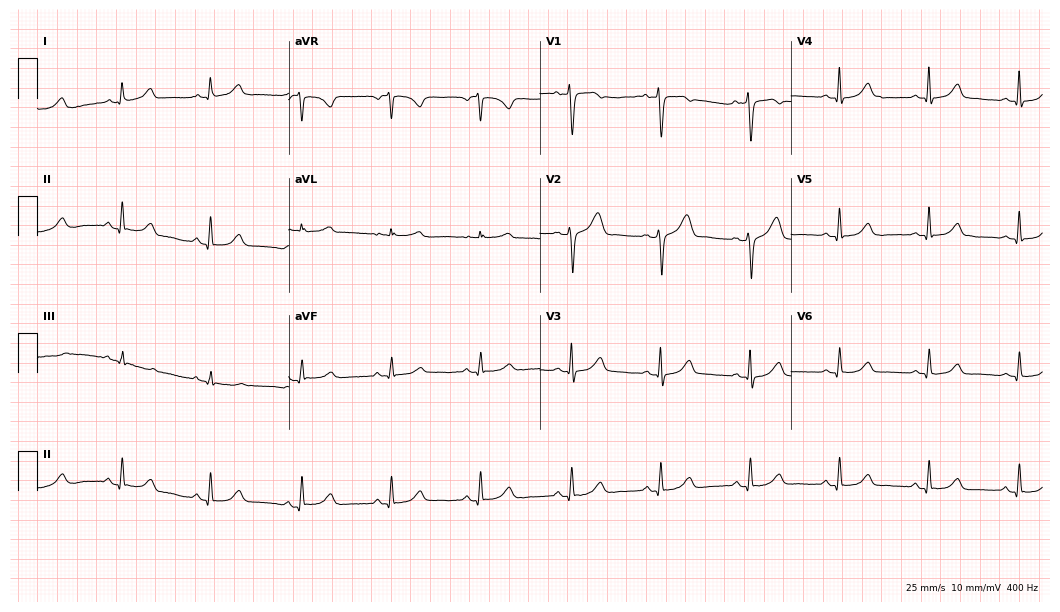
Resting 12-lead electrocardiogram. Patient: a woman, 38 years old. Read as a normal ECG.